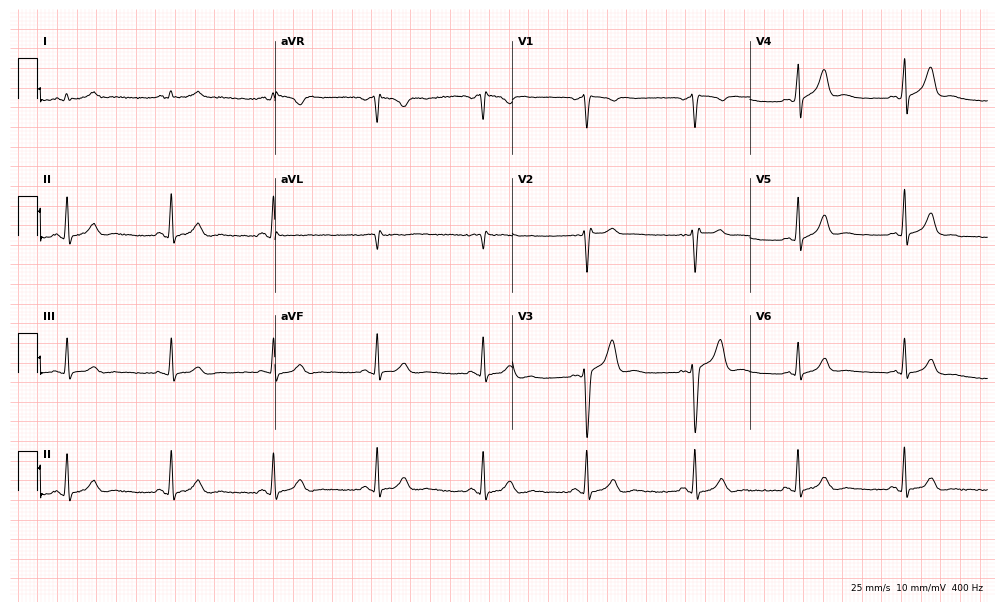
12-lead ECG from a 43-year-old man. Recorded interpretation: within normal limits.